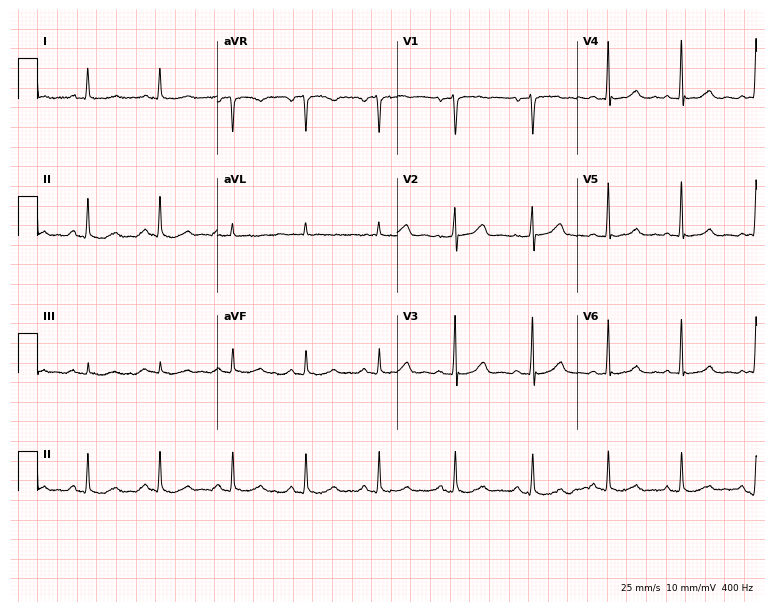
ECG — a woman, 56 years old. Labelled as a normal ECG.